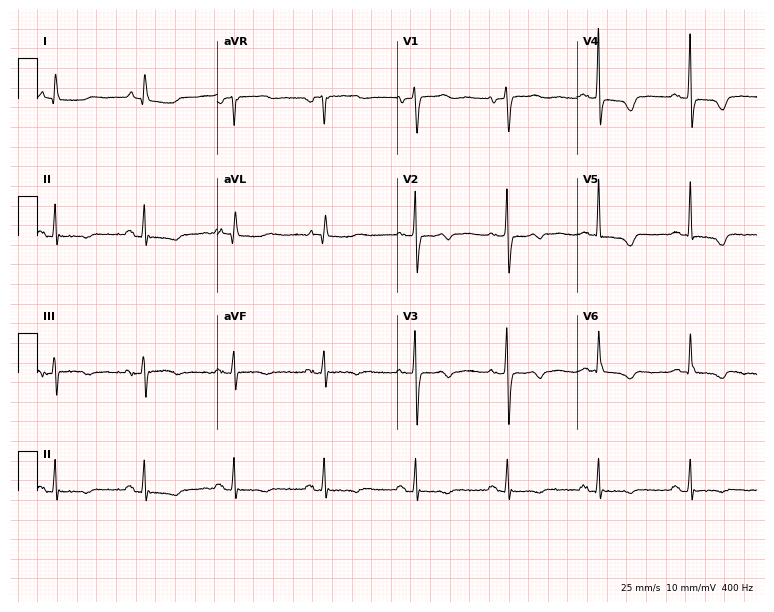
12-lead ECG from a 59-year-old female patient (7.3-second recording at 400 Hz). No first-degree AV block, right bundle branch block (RBBB), left bundle branch block (LBBB), sinus bradycardia, atrial fibrillation (AF) or sinus tachycardia recorded for this tracing.